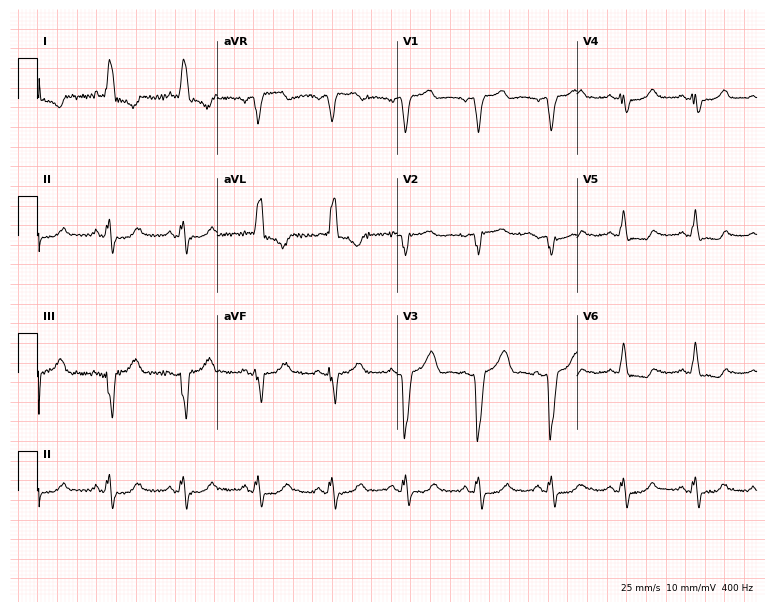
Resting 12-lead electrocardiogram (7.3-second recording at 400 Hz). Patient: a female, 77 years old. The tracing shows left bundle branch block.